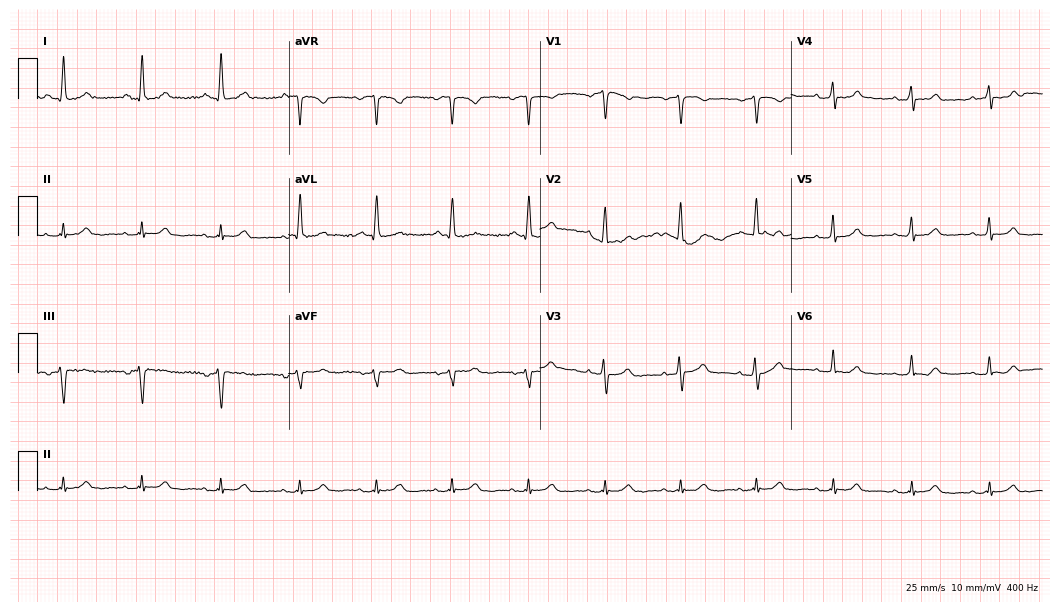
Resting 12-lead electrocardiogram. Patient: a woman, 68 years old. Read as a normal ECG.